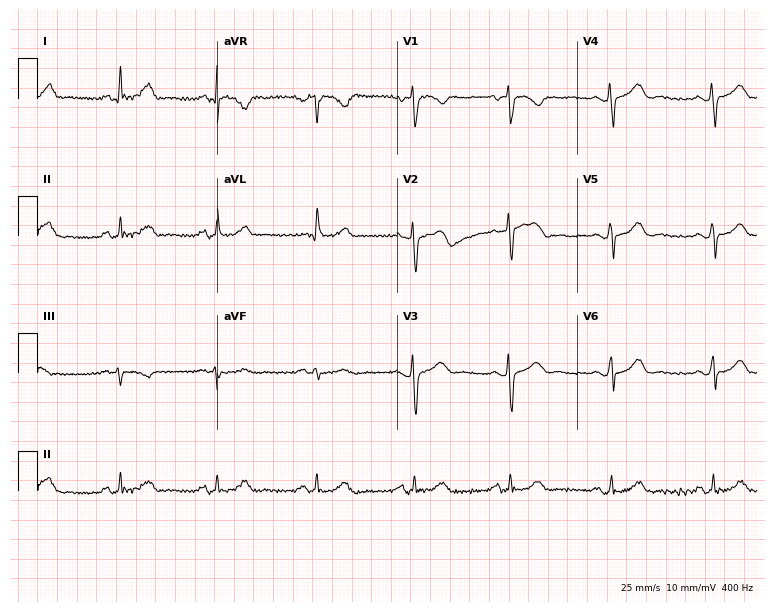
Resting 12-lead electrocardiogram. Patient: a 68-year-old woman. None of these six findings is recorded: first-degree AV block, right bundle branch block (RBBB), left bundle branch block (LBBB), sinus bradycardia, atrial fibrillation (AF), sinus tachycardia. Other findings, if any, are not listed.